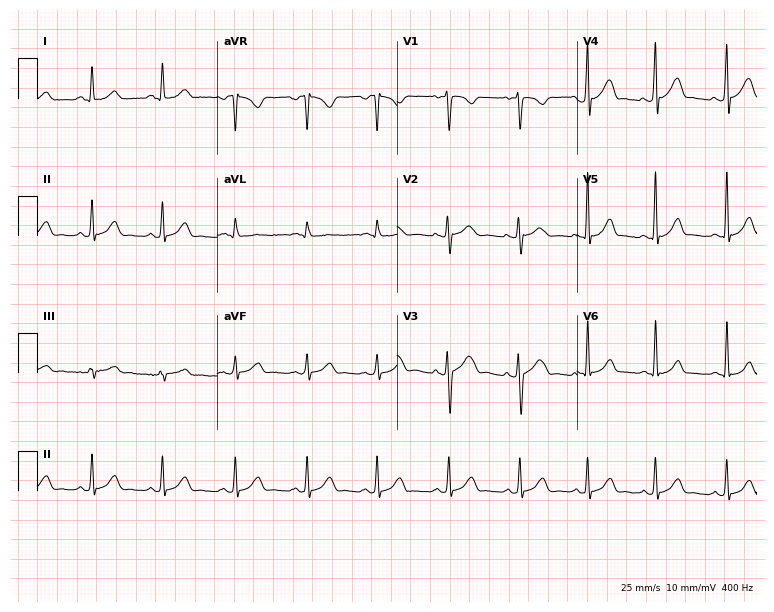
Electrocardiogram (7.3-second recording at 400 Hz), a woman, 20 years old. Of the six screened findings (first-degree AV block, right bundle branch block, left bundle branch block, sinus bradycardia, atrial fibrillation, sinus tachycardia), none is recorded.